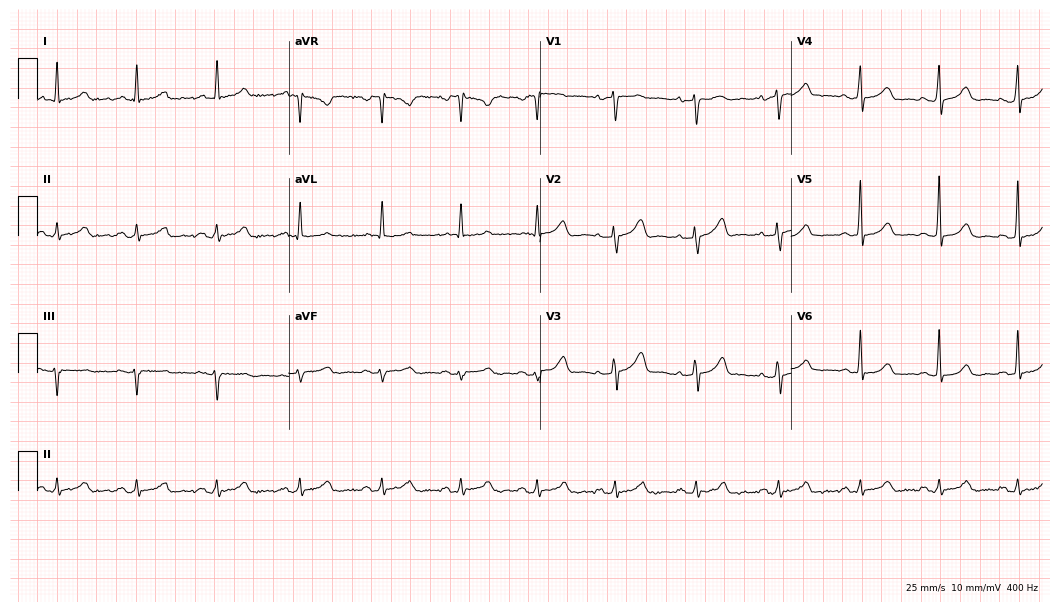
ECG — a 54-year-old woman. Labelled as a normal ECG.